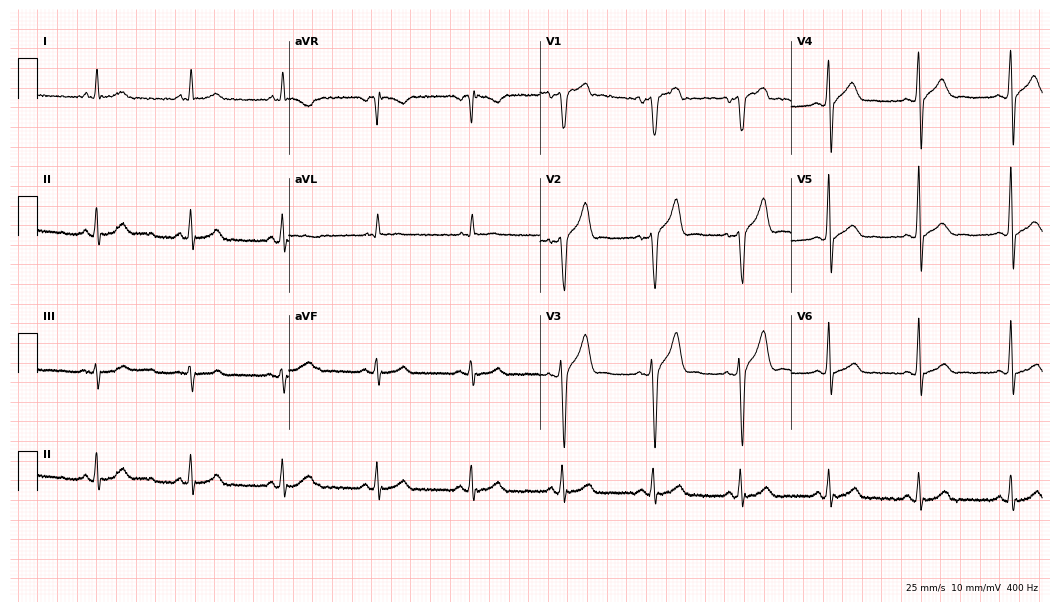
12-lead ECG from a 48-year-old male. Screened for six findings — first-degree AV block, right bundle branch block, left bundle branch block, sinus bradycardia, atrial fibrillation, sinus tachycardia — none is recorded. Other findings, if any, are not listed.